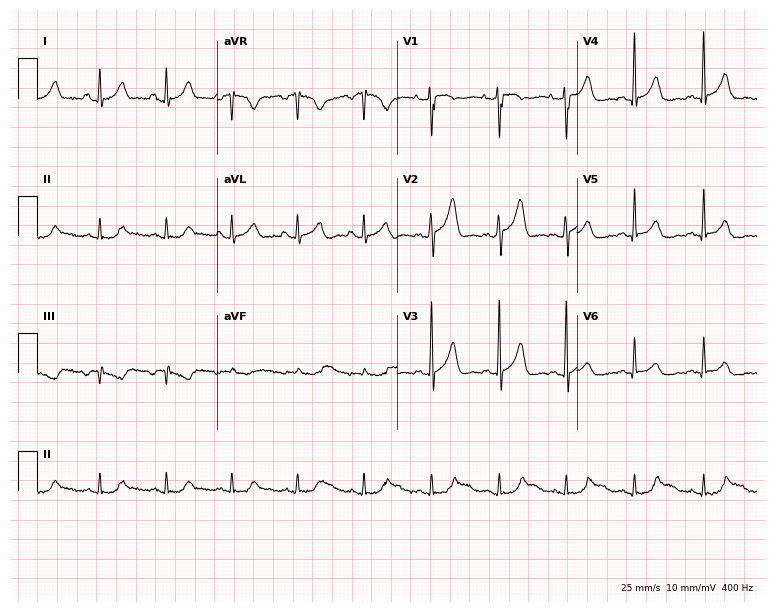
12-lead ECG from a 58-year-old male (7.3-second recording at 400 Hz). No first-degree AV block, right bundle branch block, left bundle branch block, sinus bradycardia, atrial fibrillation or sinus tachycardia recorded for this tracing. Findings outside these six are not listed.